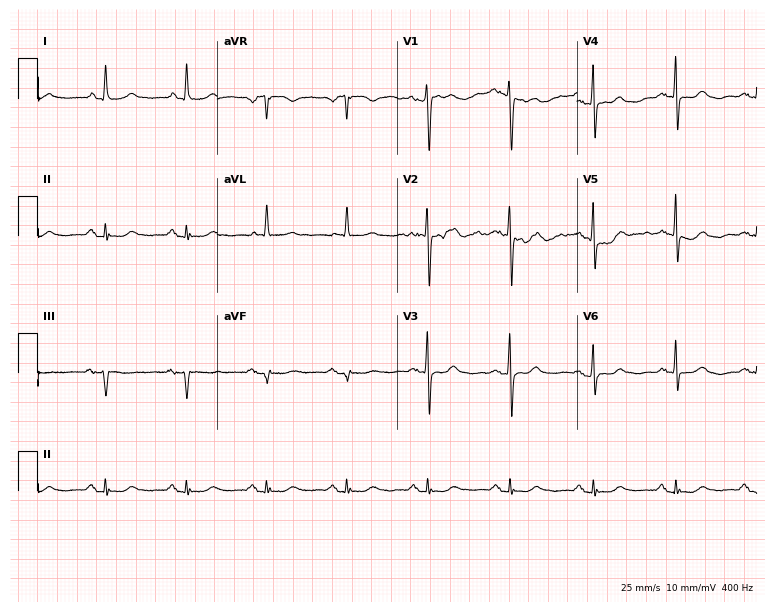
ECG (7.3-second recording at 400 Hz) — a 63-year-old woman. Labelled as a normal ECG.